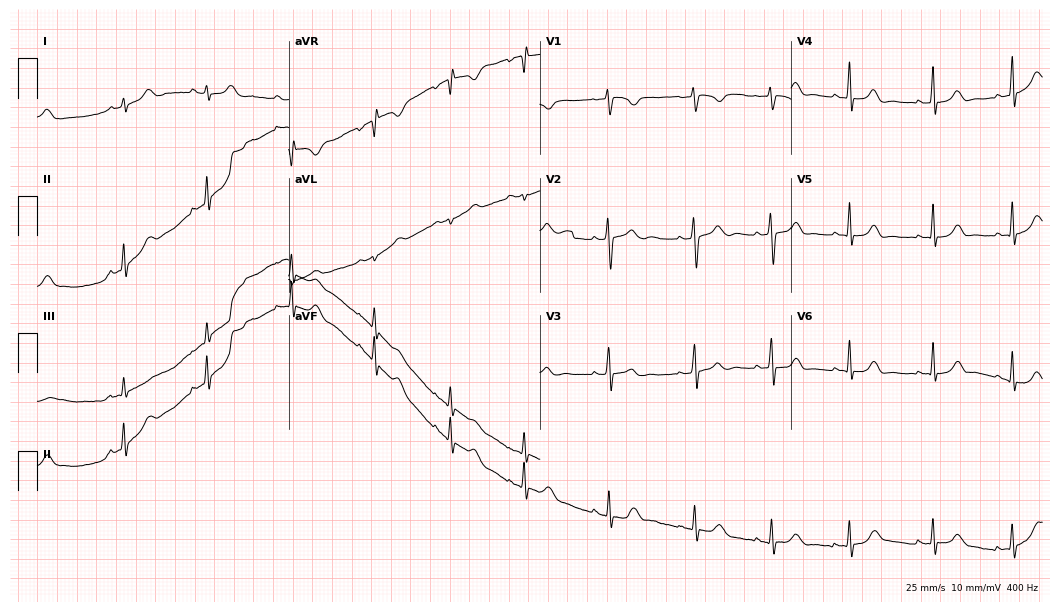
Resting 12-lead electrocardiogram (10.2-second recording at 400 Hz). Patient: a female, 17 years old. Read as a normal ECG.